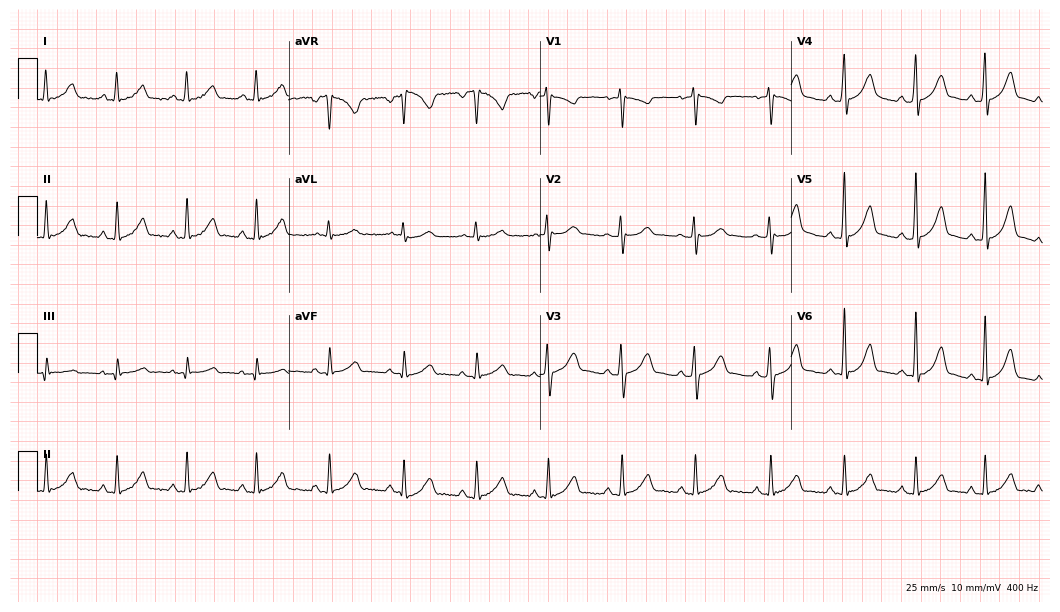
12-lead ECG (10.2-second recording at 400 Hz) from a 28-year-old female. Labelled as a normal ECG.